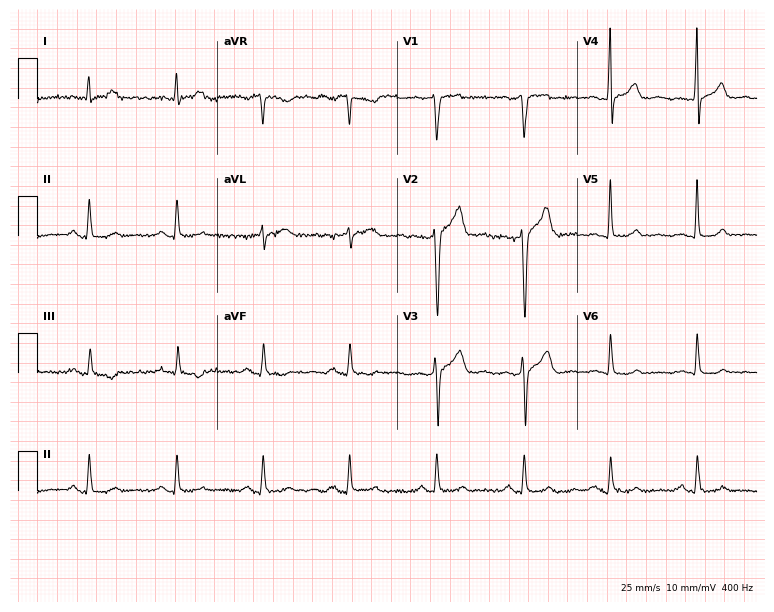
ECG — a 64-year-old male patient. Labelled as a normal ECG.